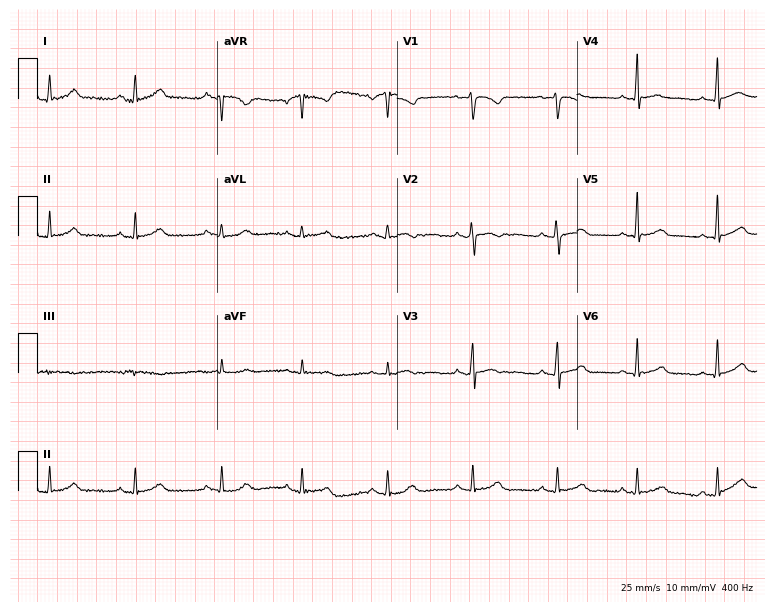
12-lead ECG (7.3-second recording at 400 Hz) from a 24-year-old female patient. Screened for six findings — first-degree AV block, right bundle branch block (RBBB), left bundle branch block (LBBB), sinus bradycardia, atrial fibrillation (AF), sinus tachycardia — none is recorded.